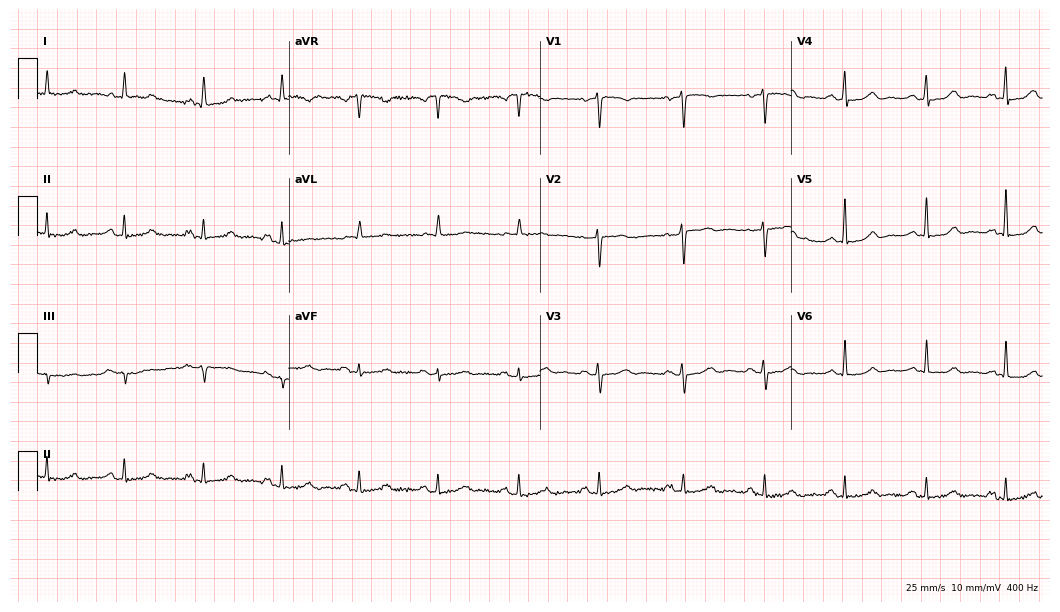
Standard 12-lead ECG recorded from a 65-year-old female patient (10.2-second recording at 400 Hz). Read as a normal ECG.